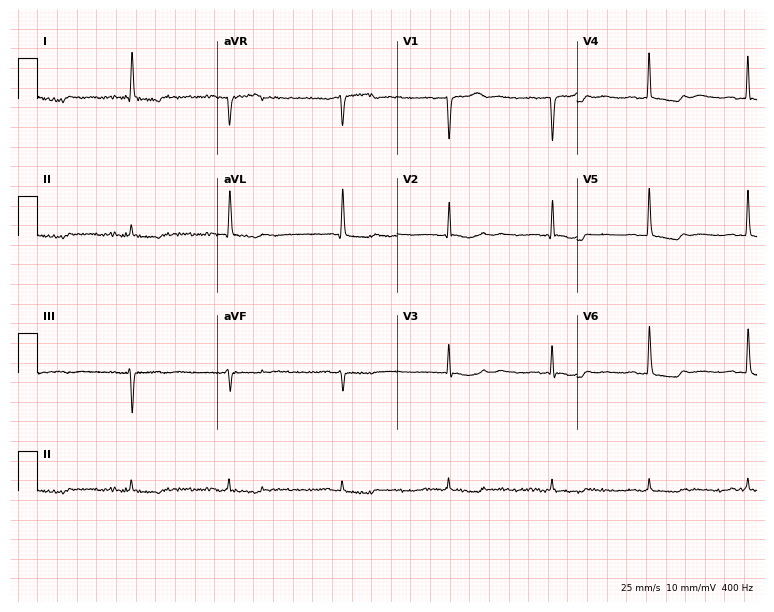
Standard 12-lead ECG recorded from a 75-year-old woman (7.3-second recording at 400 Hz). None of these six findings is recorded: first-degree AV block, right bundle branch block (RBBB), left bundle branch block (LBBB), sinus bradycardia, atrial fibrillation (AF), sinus tachycardia.